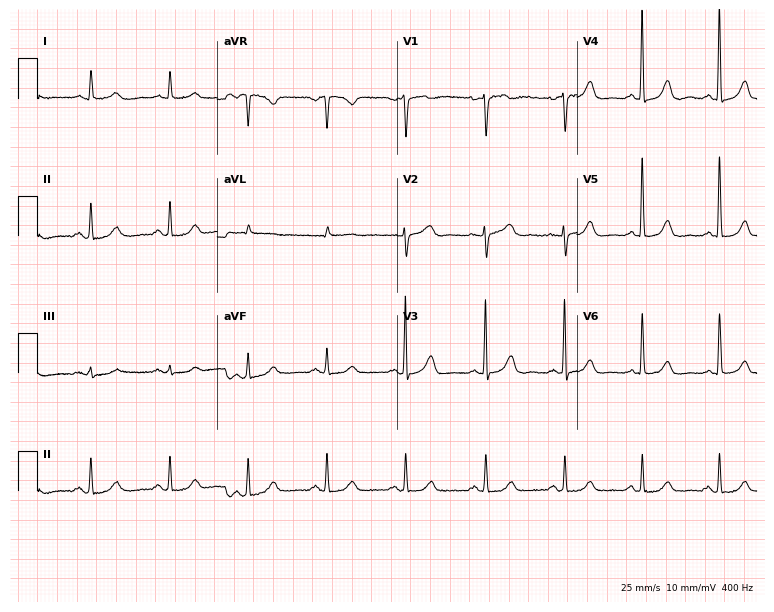
Resting 12-lead electrocardiogram. Patient: a 75-year-old woman. None of these six findings is recorded: first-degree AV block, right bundle branch block (RBBB), left bundle branch block (LBBB), sinus bradycardia, atrial fibrillation (AF), sinus tachycardia. Only these six findings were labelled.